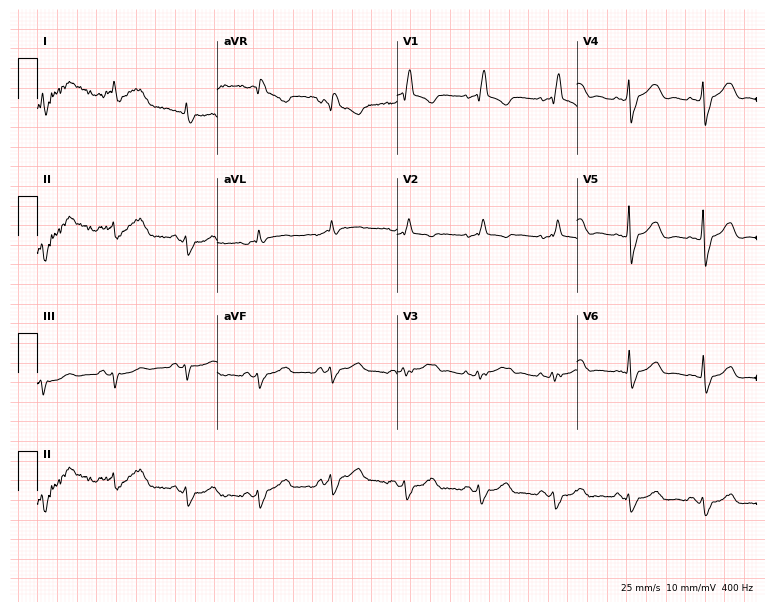
Resting 12-lead electrocardiogram. Patient: a male, 81 years old. The tracing shows right bundle branch block.